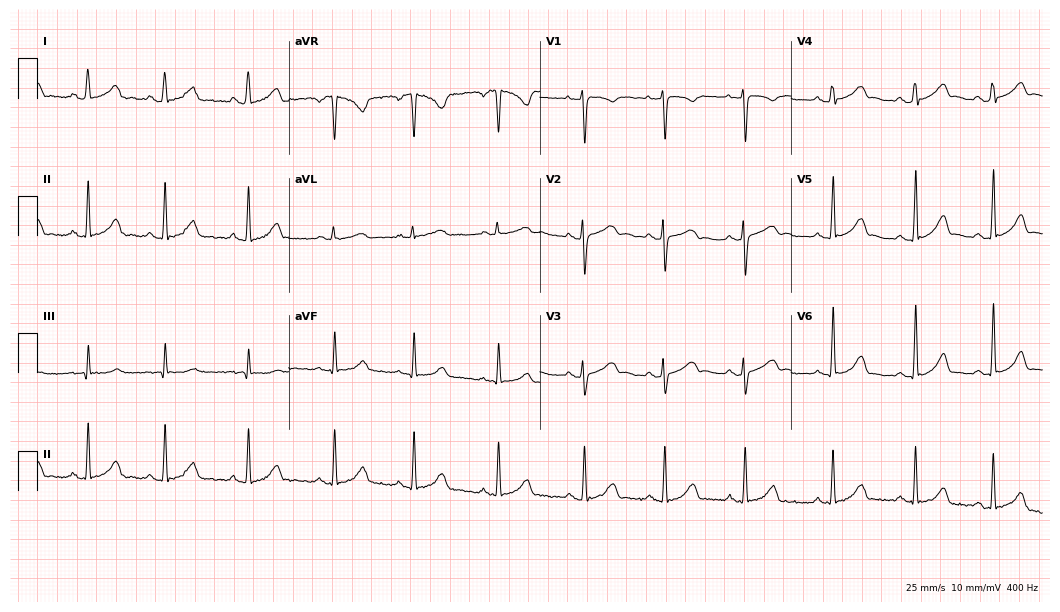
Standard 12-lead ECG recorded from a 26-year-old female patient. Read as a normal ECG.